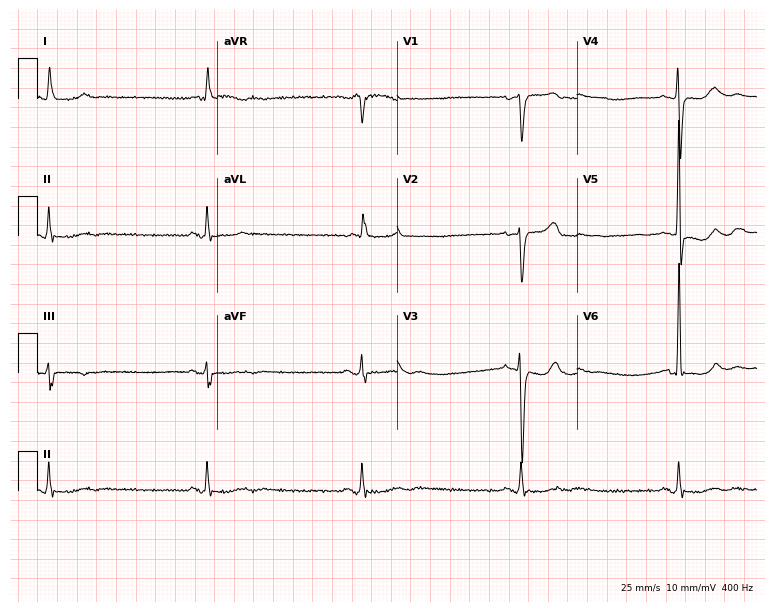
Standard 12-lead ECG recorded from a man, 71 years old. None of these six findings is recorded: first-degree AV block, right bundle branch block, left bundle branch block, sinus bradycardia, atrial fibrillation, sinus tachycardia. Findings outside these six are not listed.